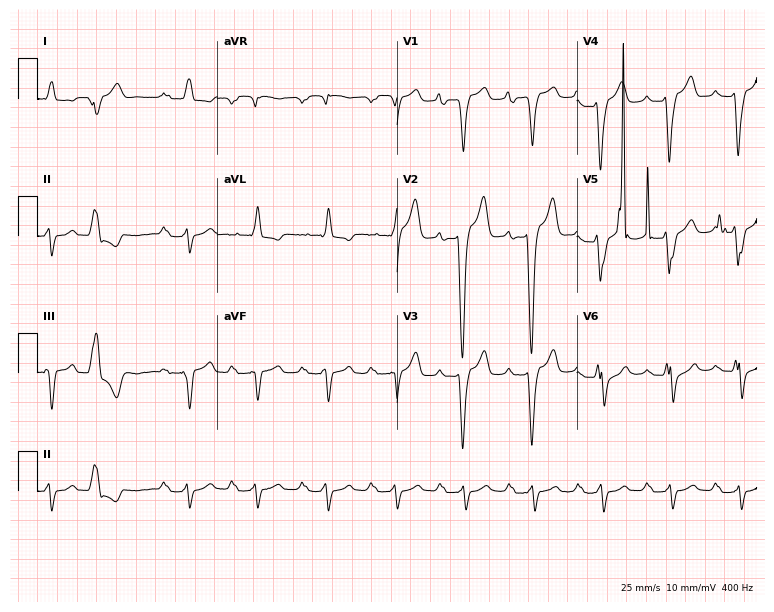
ECG (7.3-second recording at 400 Hz) — a 41-year-old man. Findings include first-degree AV block, left bundle branch block.